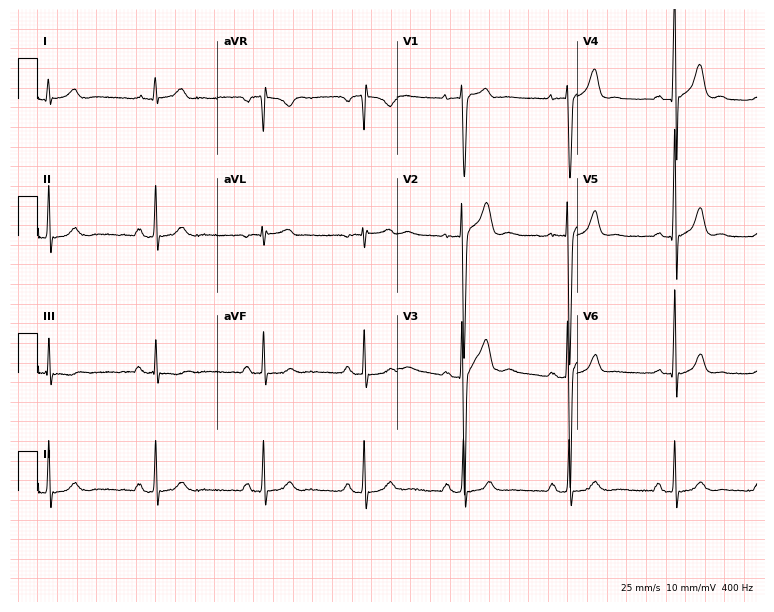
12-lead ECG from a 21-year-old man. Labelled as a normal ECG.